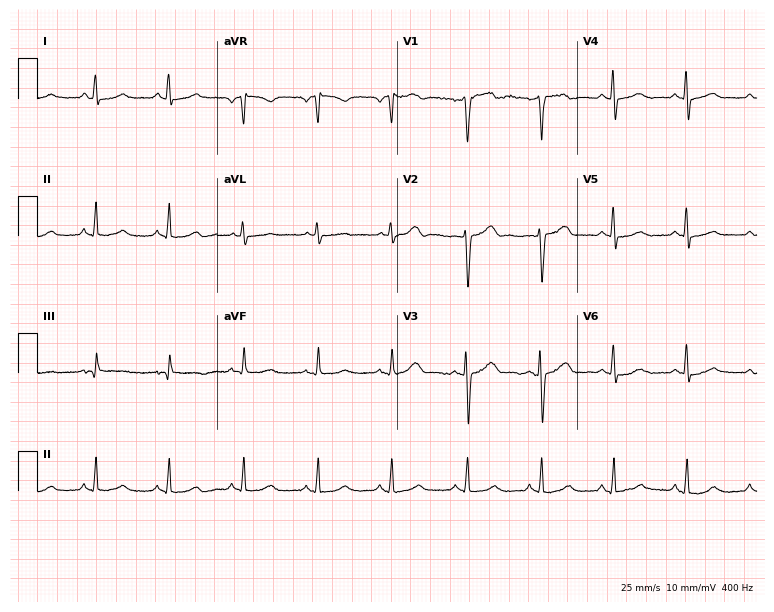
ECG (7.3-second recording at 400 Hz) — a female patient, 28 years old. Screened for six findings — first-degree AV block, right bundle branch block, left bundle branch block, sinus bradycardia, atrial fibrillation, sinus tachycardia — none is recorded. Only these six findings were labelled.